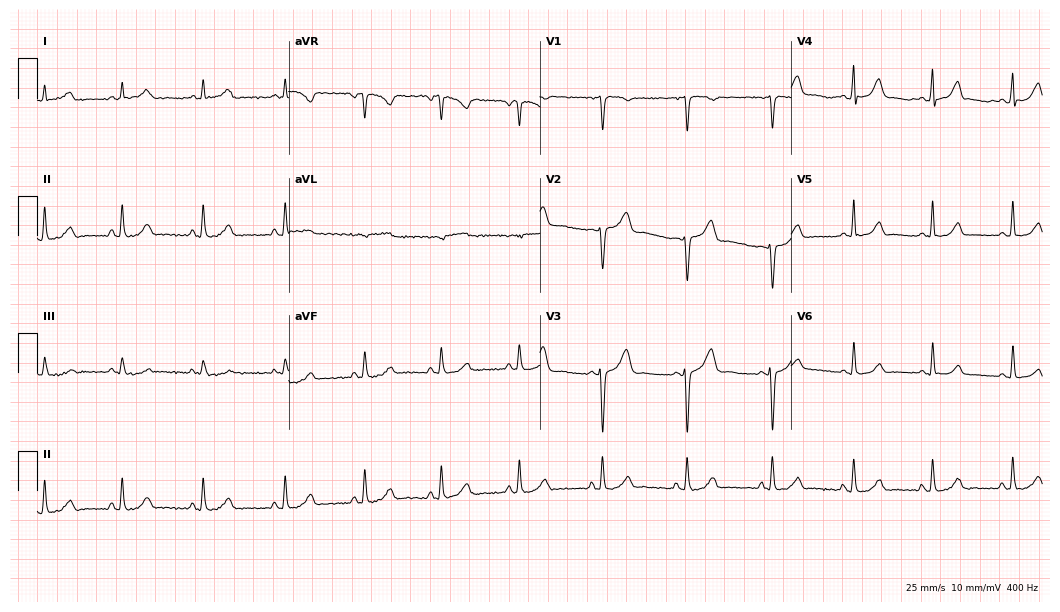
Electrocardiogram, a 36-year-old female patient. Overall reading on record: normal ECG.